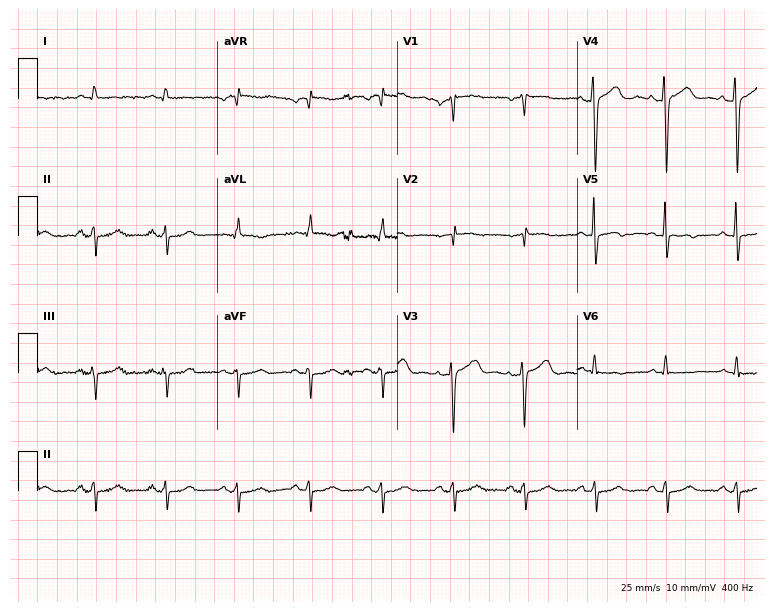
Electrocardiogram, a male patient, 71 years old. Of the six screened findings (first-degree AV block, right bundle branch block, left bundle branch block, sinus bradycardia, atrial fibrillation, sinus tachycardia), none is recorded.